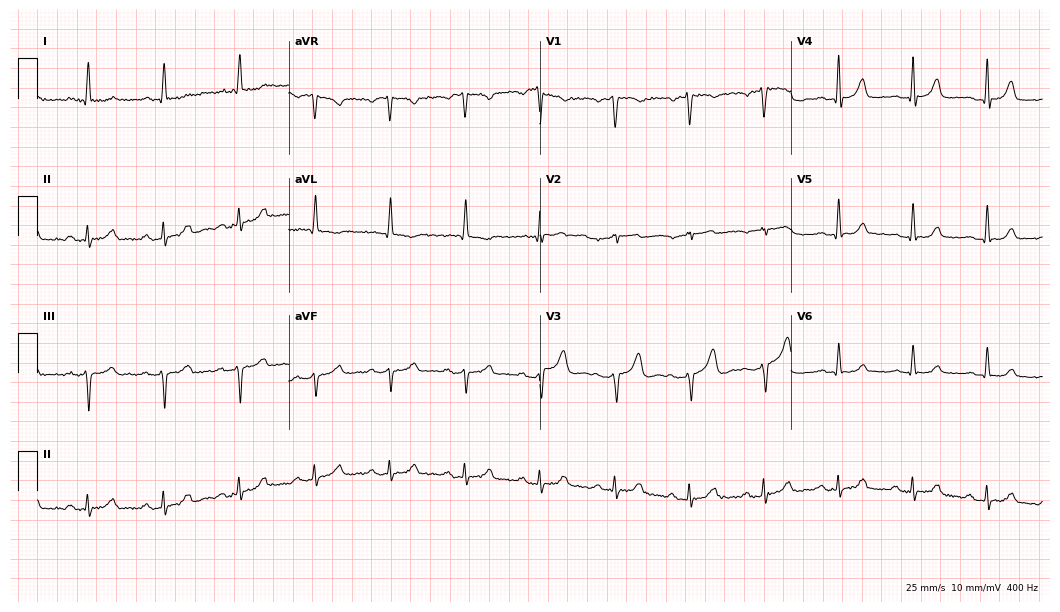
Standard 12-lead ECG recorded from a female, 63 years old (10.2-second recording at 400 Hz). Read as a normal ECG.